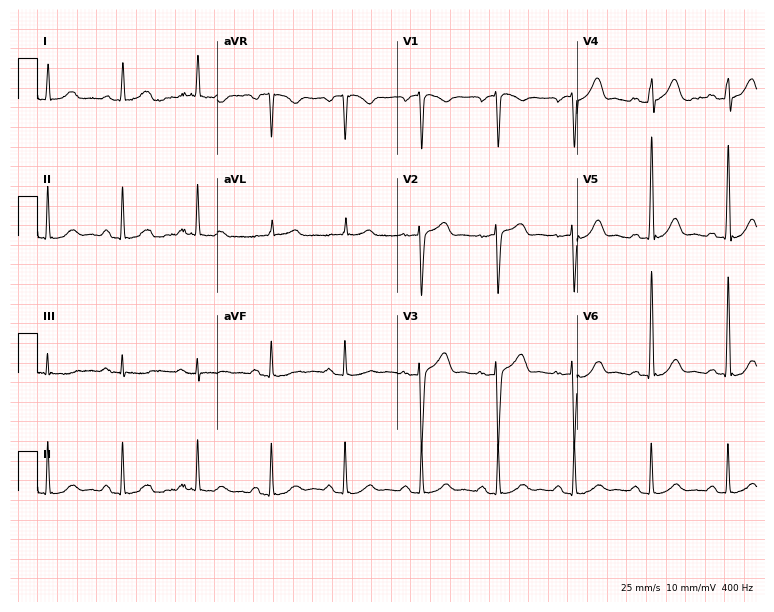
Resting 12-lead electrocardiogram (7.3-second recording at 400 Hz). Patient: a male, 61 years old. None of these six findings is recorded: first-degree AV block, right bundle branch block, left bundle branch block, sinus bradycardia, atrial fibrillation, sinus tachycardia.